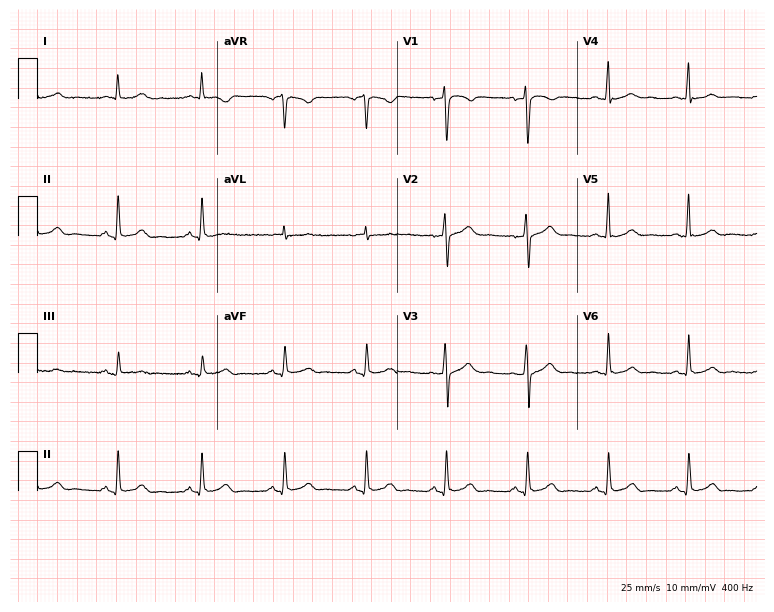
12-lead ECG from a man, 53 years old. Recorded interpretation: within normal limits.